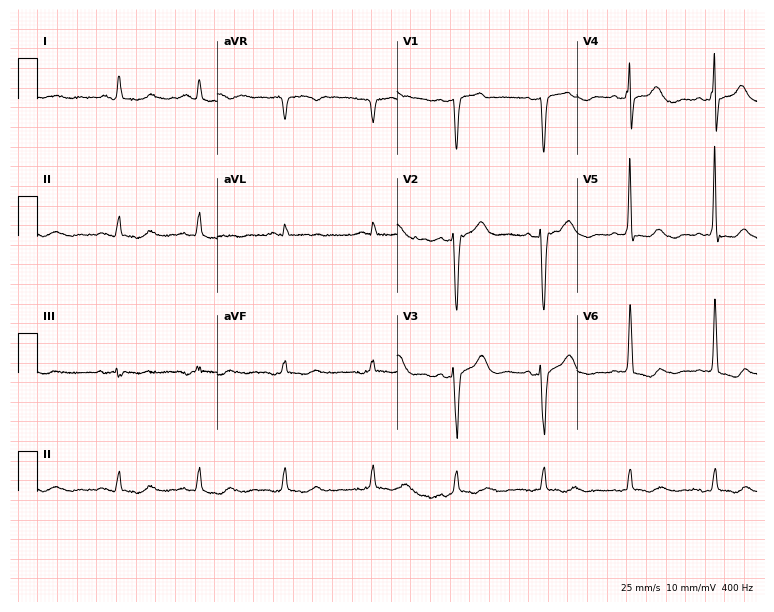
ECG (7.3-second recording at 400 Hz) — a female, 77 years old. Screened for six findings — first-degree AV block, right bundle branch block (RBBB), left bundle branch block (LBBB), sinus bradycardia, atrial fibrillation (AF), sinus tachycardia — none is recorded.